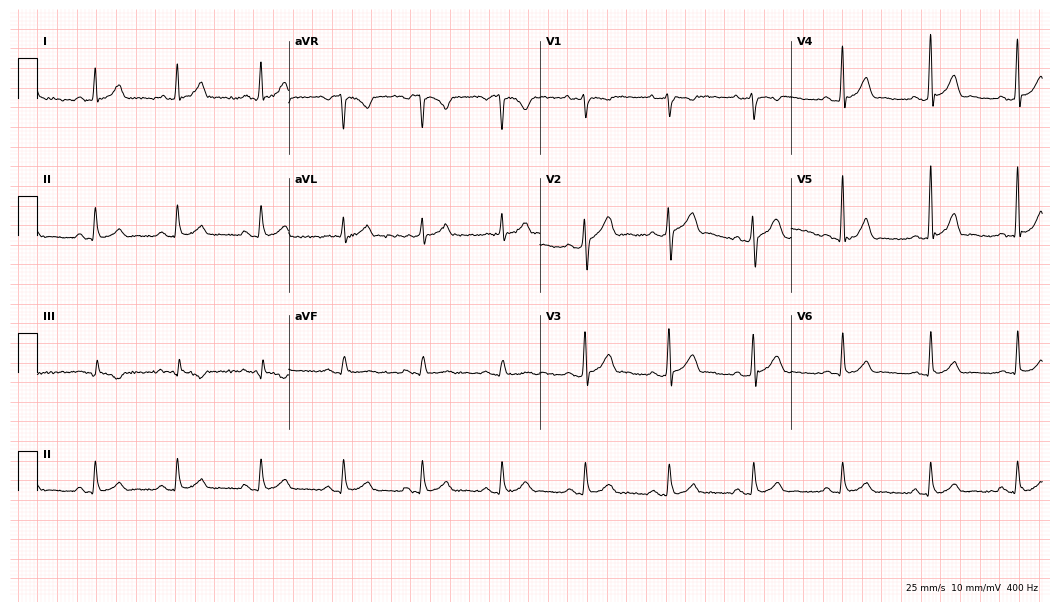
12-lead ECG (10.2-second recording at 400 Hz) from a male, 30 years old. Screened for six findings — first-degree AV block, right bundle branch block, left bundle branch block, sinus bradycardia, atrial fibrillation, sinus tachycardia — none is recorded. Only these six findings were labelled.